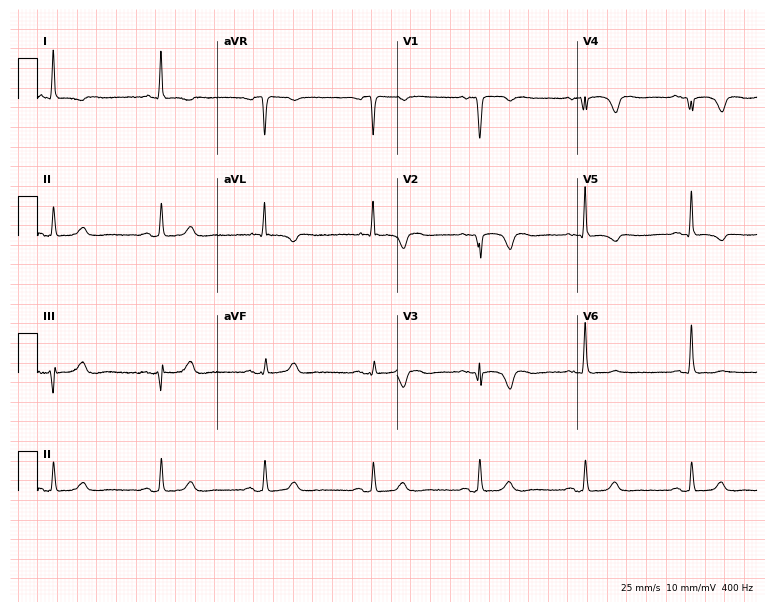
12-lead ECG from a 77-year-old female (7.3-second recording at 400 Hz). No first-degree AV block, right bundle branch block, left bundle branch block, sinus bradycardia, atrial fibrillation or sinus tachycardia recorded for this tracing.